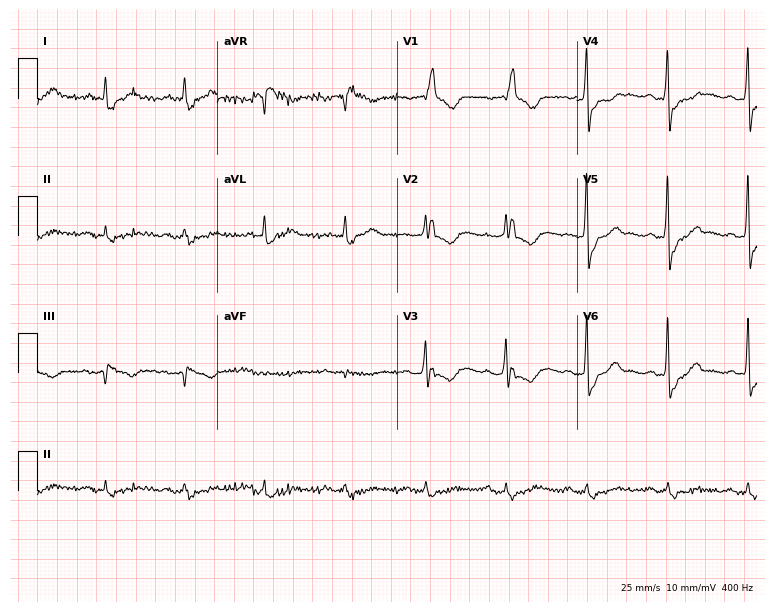
ECG (7.3-second recording at 400 Hz) — a male patient, 79 years old. Findings include right bundle branch block.